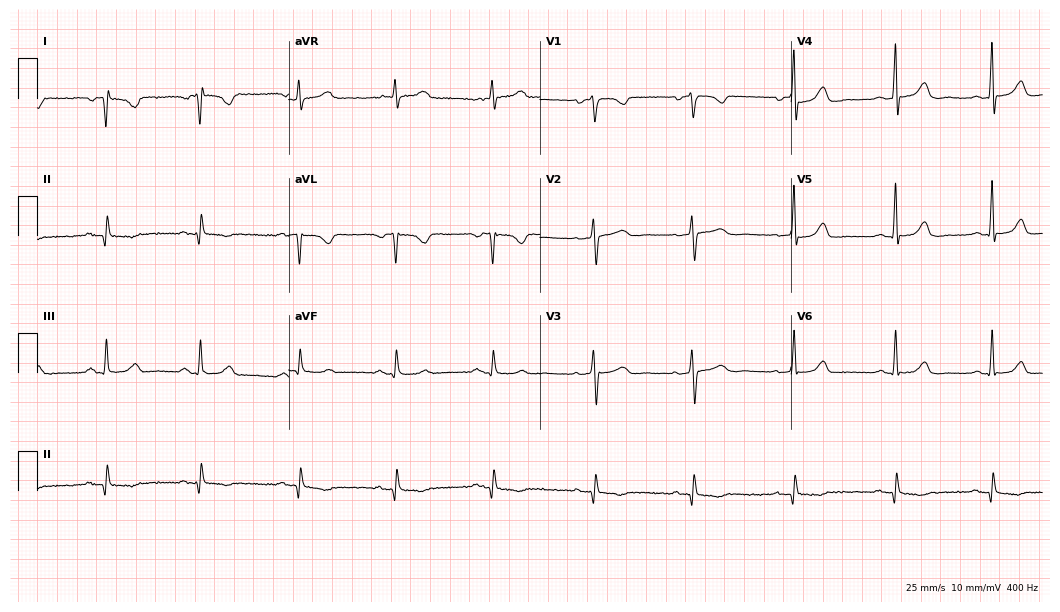
Electrocardiogram, a woman, 46 years old. Of the six screened findings (first-degree AV block, right bundle branch block (RBBB), left bundle branch block (LBBB), sinus bradycardia, atrial fibrillation (AF), sinus tachycardia), none is recorded.